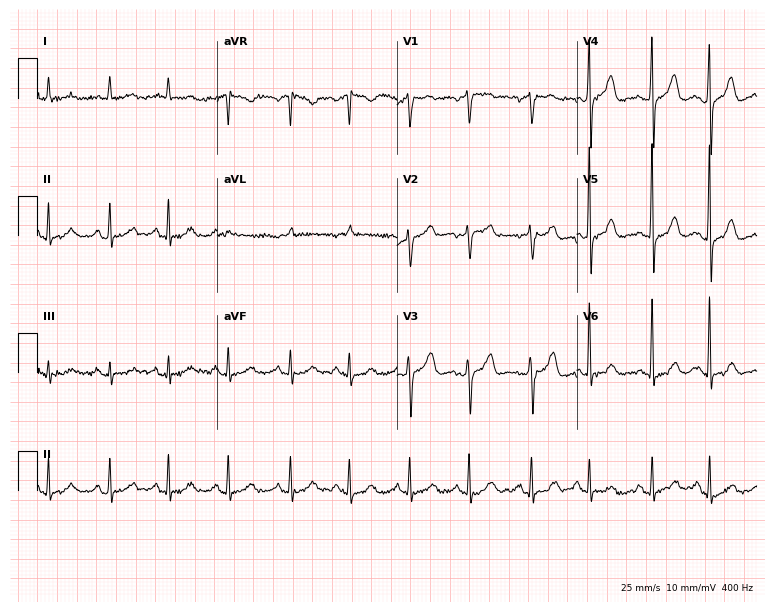
Resting 12-lead electrocardiogram. Patient: a 71-year-old female. None of these six findings is recorded: first-degree AV block, right bundle branch block, left bundle branch block, sinus bradycardia, atrial fibrillation, sinus tachycardia. Findings outside these six are not listed.